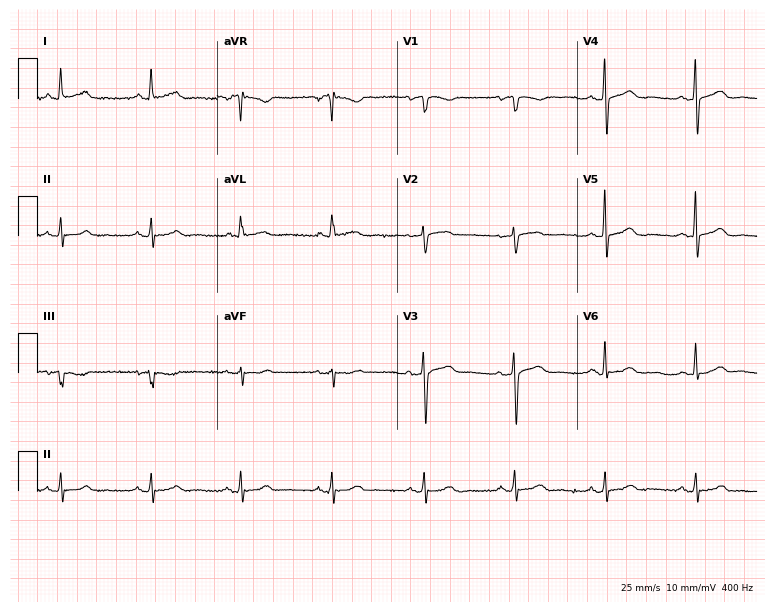
Standard 12-lead ECG recorded from a female, 62 years old (7.3-second recording at 400 Hz). None of these six findings is recorded: first-degree AV block, right bundle branch block (RBBB), left bundle branch block (LBBB), sinus bradycardia, atrial fibrillation (AF), sinus tachycardia.